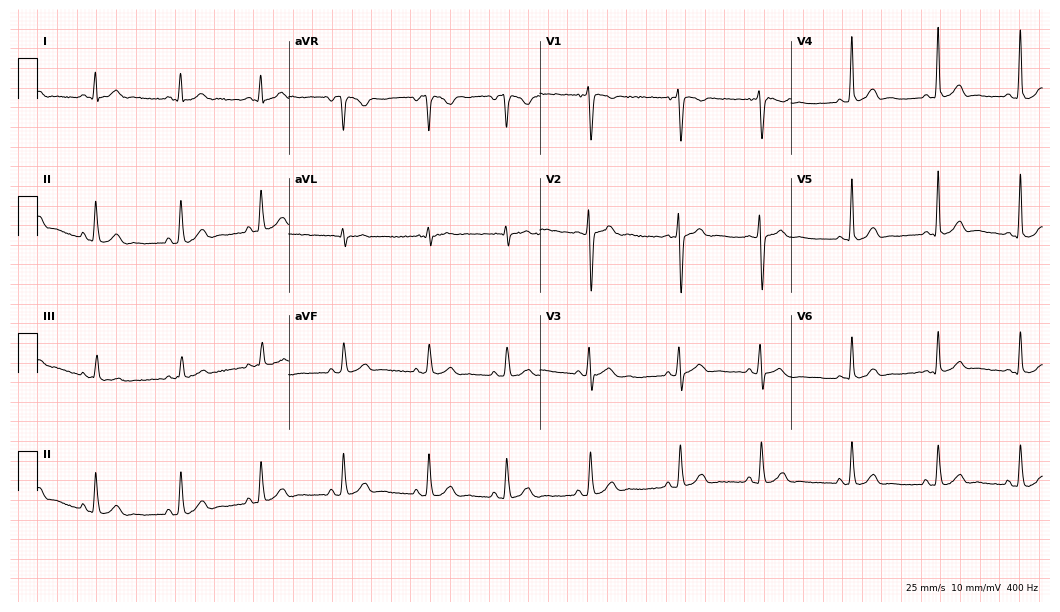
Electrocardiogram (10.2-second recording at 400 Hz), an 18-year-old male patient. Overall reading on record: normal ECG.